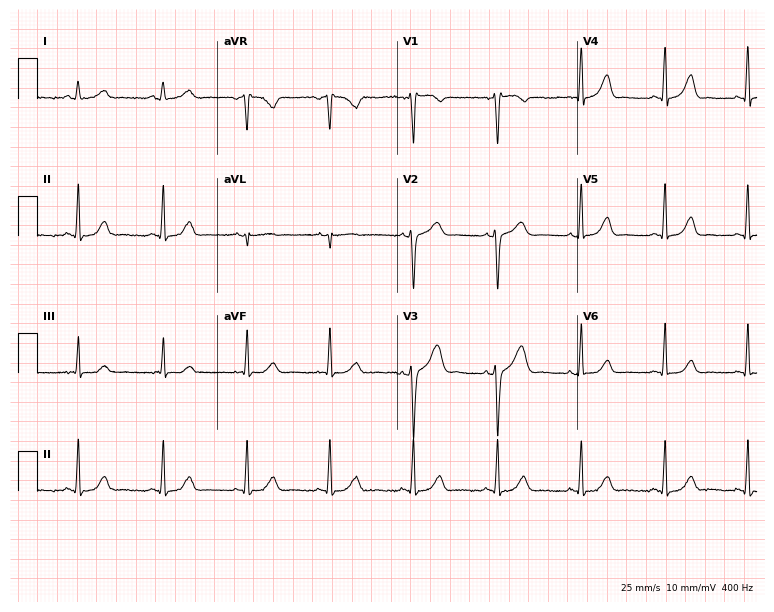
12-lead ECG from a 50-year-old female. Screened for six findings — first-degree AV block, right bundle branch block, left bundle branch block, sinus bradycardia, atrial fibrillation, sinus tachycardia — none is recorded.